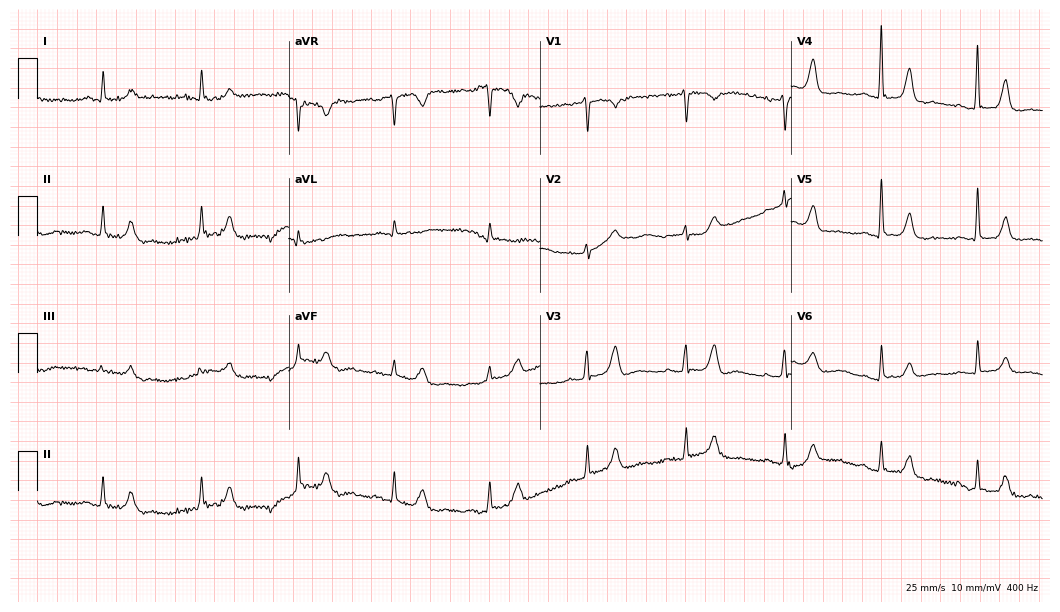
Electrocardiogram, a 76-year-old male patient. Overall reading on record: normal ECG.